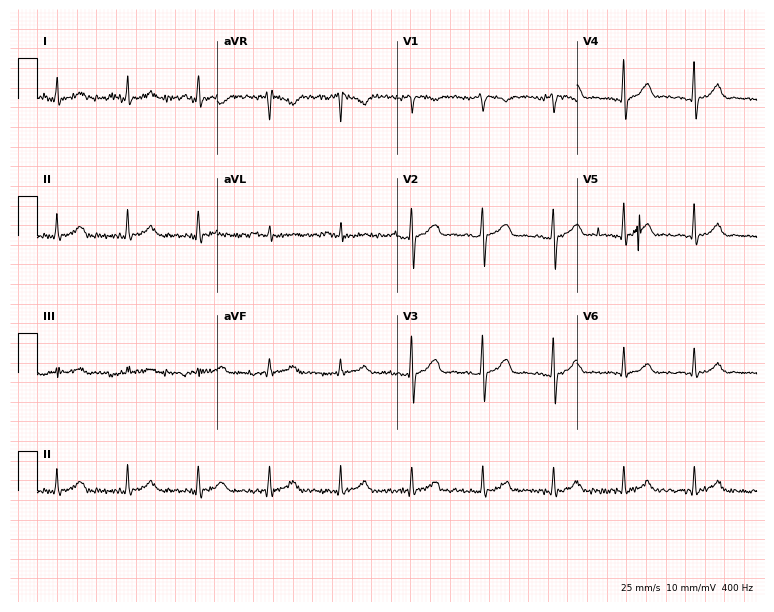
Resting 12-lead electrocardiogram. Patient: a male, 62 years old. Read as a normal ECG.